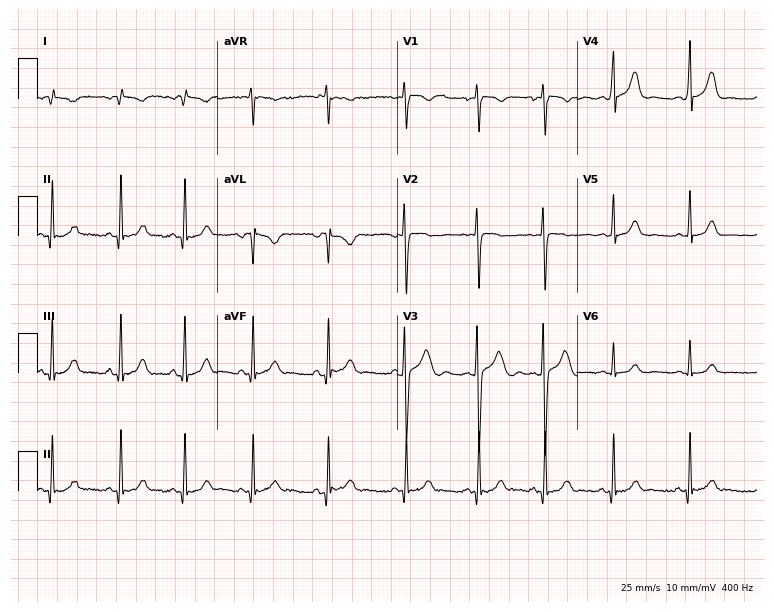
12-lead ECG from a 19-year-old female patient. Screened for six findings — first-degree AV block, right bundle branch block, left bundle branch block, sinus bradycardia, atrial fibrillation, sinus tachycardia — none is recorded. Other findings, if any, are not listed.